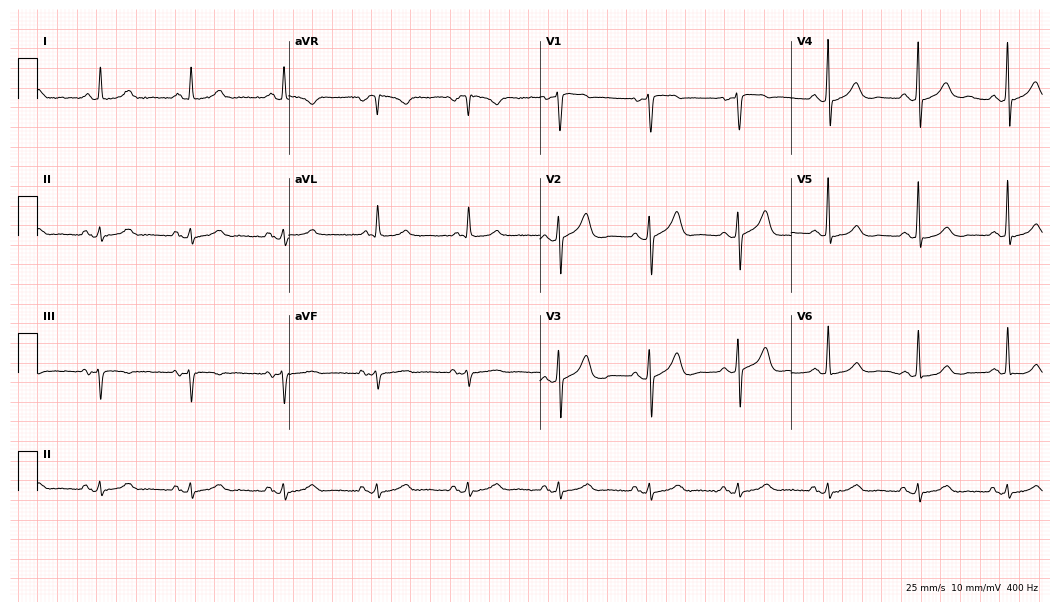
12-lead ECG from a man, 78 years old. Recorded interpretation: within normal limits.